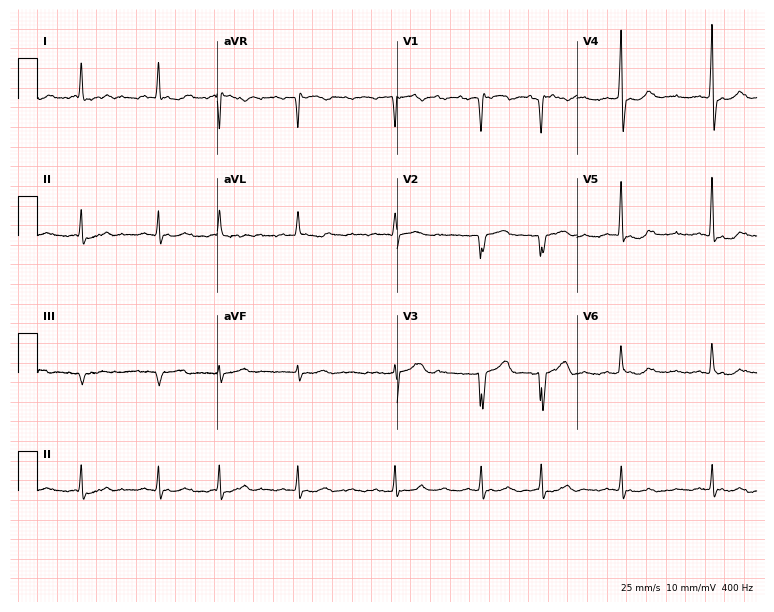
12-lead ECG from a 77-year-old man (7.3-second recording at 400 Hz). Shows atrial fibrillation (AF).